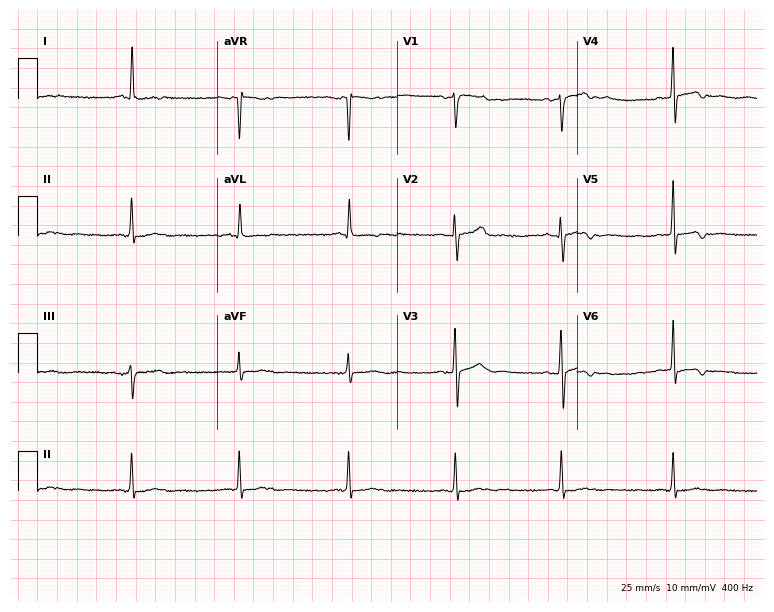
12-lead ECG from a male patient, 63 years old. Screened for six findings — first-degree AV block, right bundle branch block (RBBB), left bundle branch block (LBBB), sinus bradycardia, atrial fibrillation (AF), sinus tachycardia — none is recorded. Other findings, if any, are not listed.